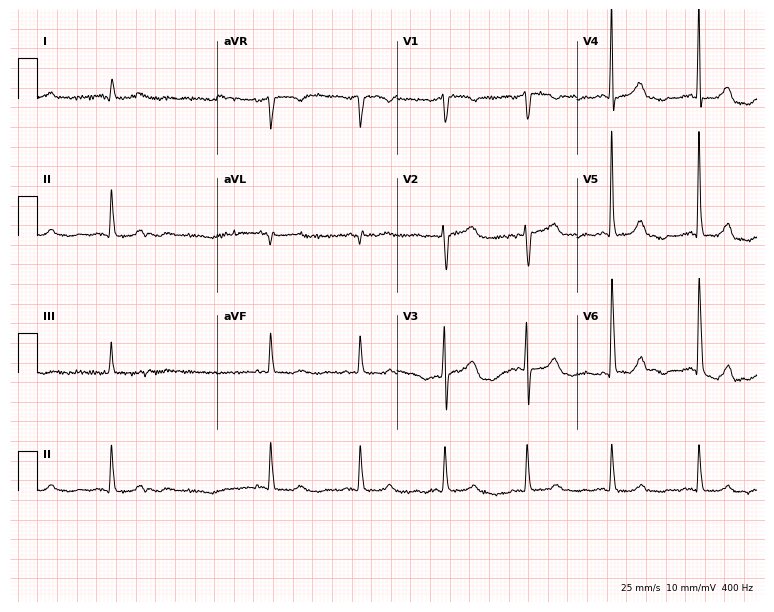
ECG (7.3-second recording at 400 Hz) — a 66-year-old female. Screened for six findings — first-degree AV block, right bundle branch block, left bundle branch block, sinus bradycardia, atrial fibrillation, sinus tachycardia — none is recorded. Other findings, if any, are not listed.